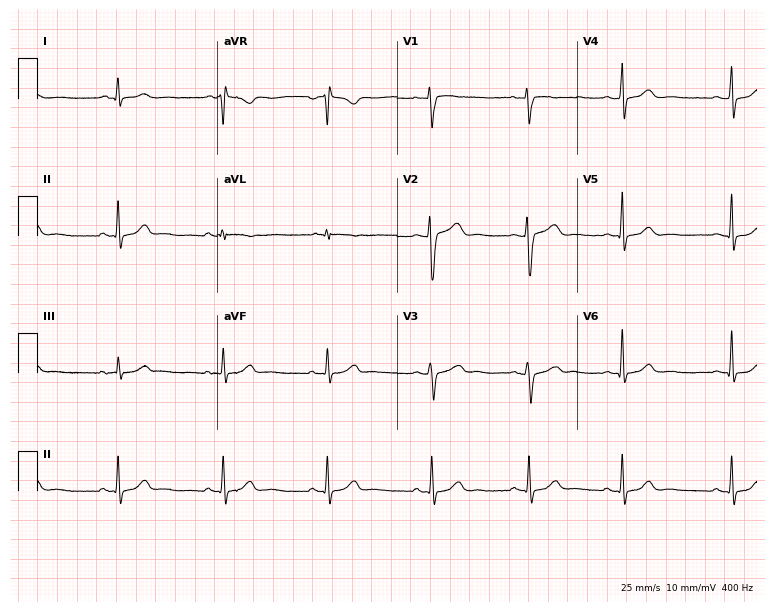
Standard 12-lead ECG recorded from a female patient, 28 years old. Read as a normal ECG.